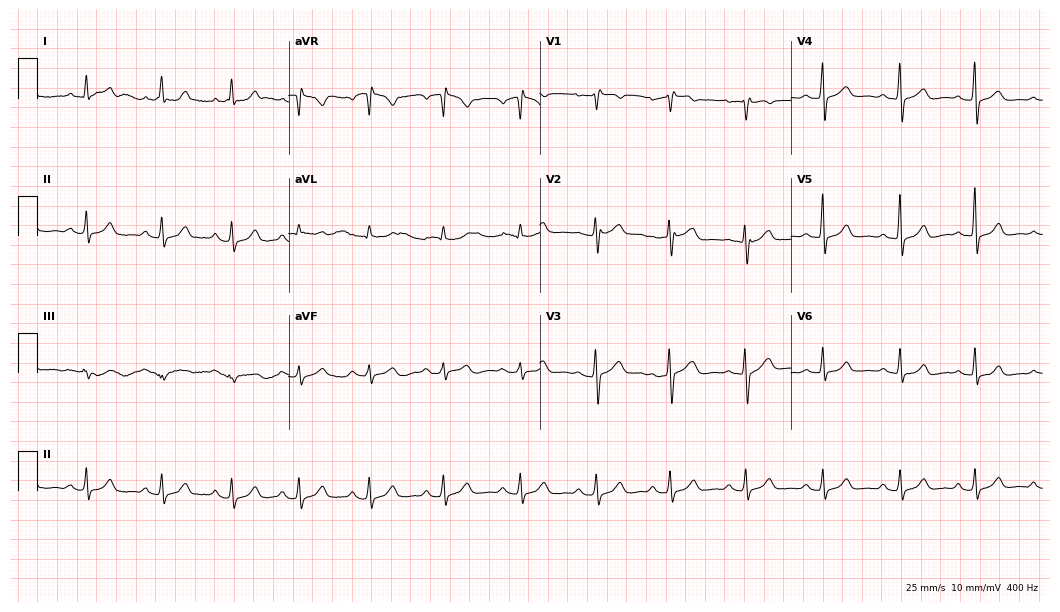
12-lead ECG from a woman, 51 years old. Screened for six findings — first-degree AV block, right bundle branch block (RBBB), left bundle branch block (LBBB), sinus bradycardia, atrial fibrillation (AF), sinus tachycardia — none is recorded.